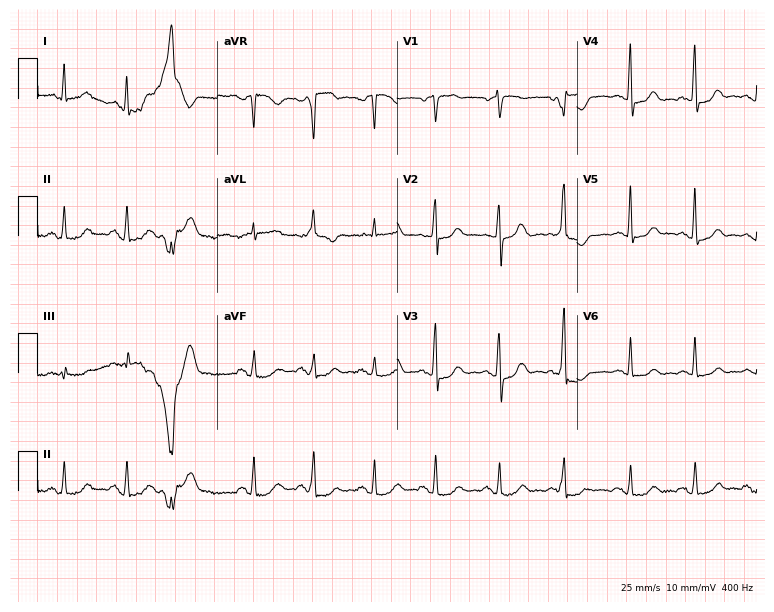
Electrocardiogram (7.3-second recording at 400 Hz), a woman, 72 years old. Overall reading on record: normal ECG.